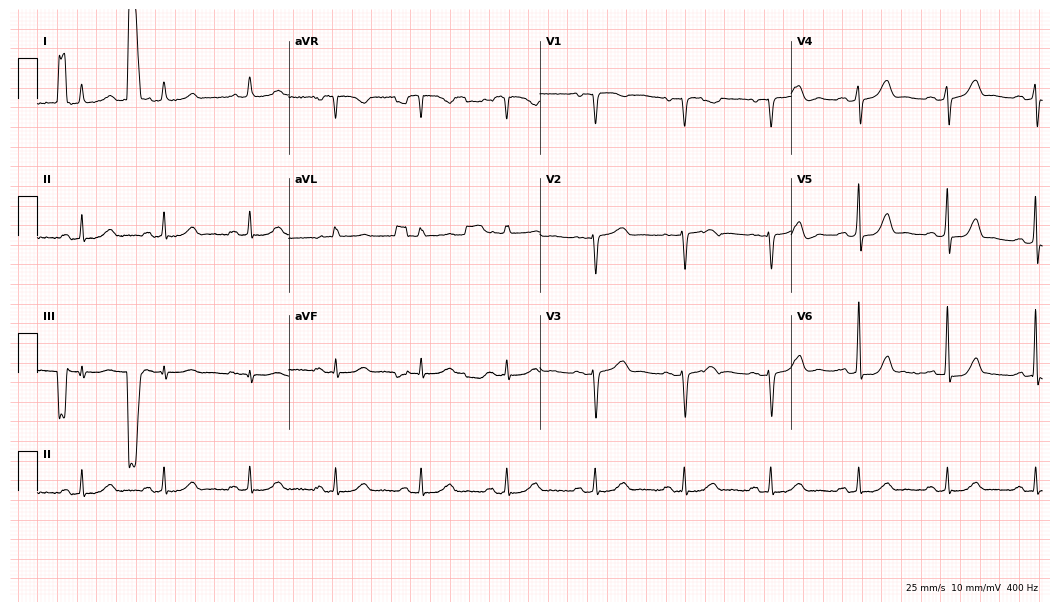
12-lead ECG from a woman, 72 years old (10.2-second recording at 400 Hz). Recorded interpretation: within normal limits.